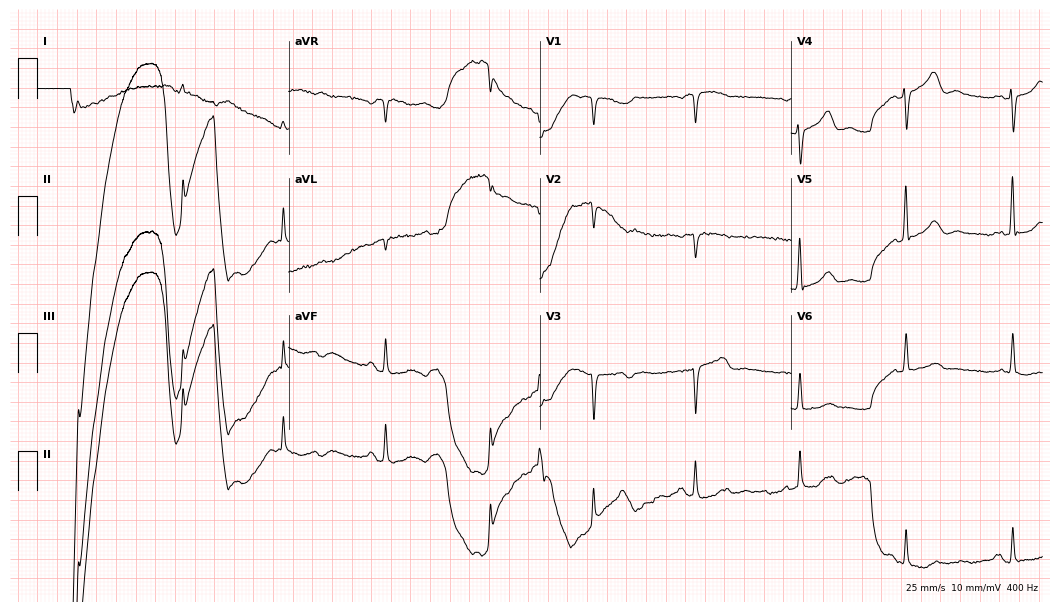
12-lead ECG (10.2-second recording at 400 Hz) from an 84-year-old male patient. Labelled as a normal ECG.